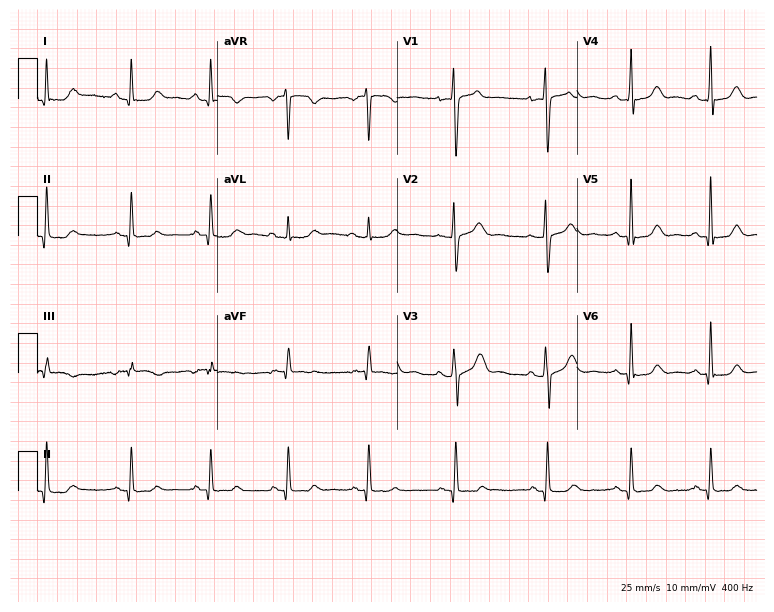
Electrocardiogram, a 36-year-old woman. Overall reading on record: normal ECG.